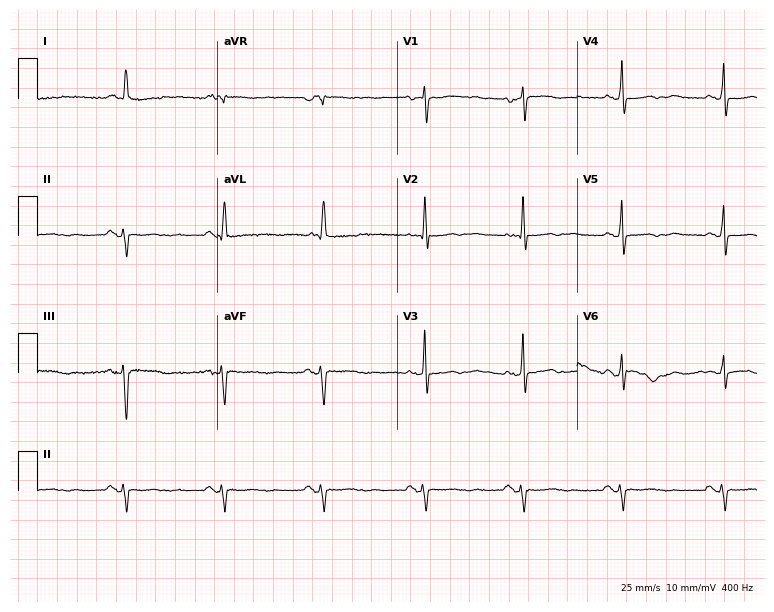
Resting 12-lead electrocardiogram (7.3-second recording at 400 Hz). Patient: a woman, 83 years old. None of these six findings is recorded: first-degree AV block, right bundle branch block (RBBB), left bundle branch block (LBBB), sinus bradycardia, atrial fibrillation (AF), sinus tachycardia.